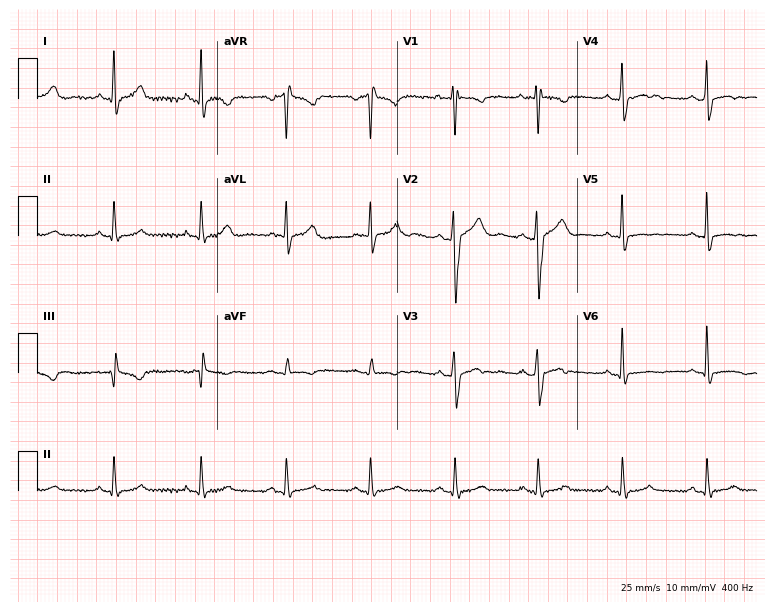
Electrocardiogram, a man, 30 years old. Of the six screened findings (first-degree AV block, right bundle branch block, left bundle branch block, sinus bradycardia, atrial fibrillation, sinus tachycardia), none is recorded. Other findings, if any, are not listed.